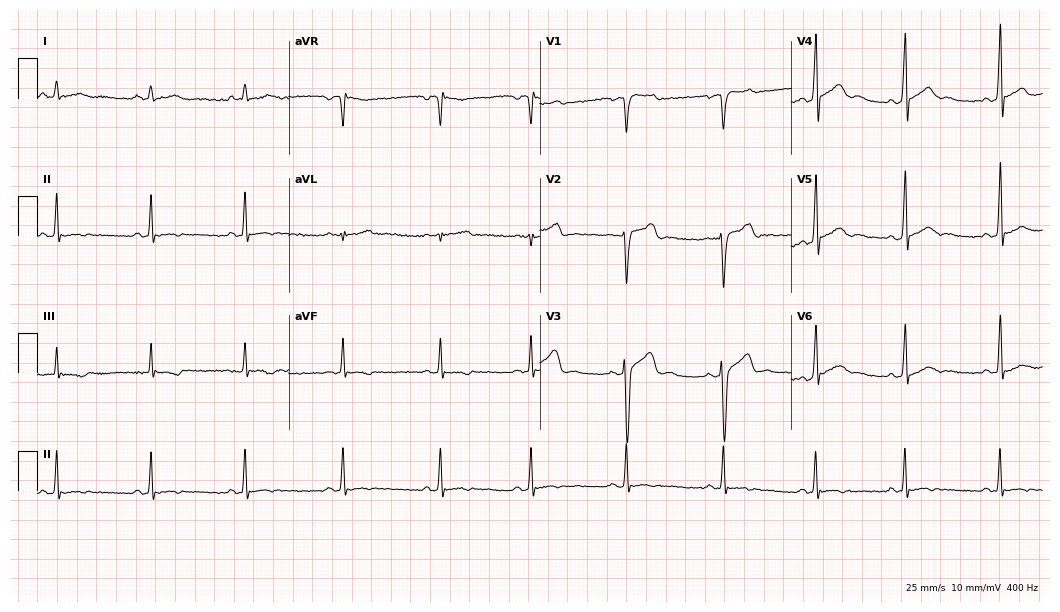
12-lead ECG from a male, 17 years old. No first-degree AV block, right bundle branch block (RBBB), left bundle branch block (LBBB), sinus bradycardia, atrial fibrillation (AF) or sinus tachycardia recorded for this tracing.